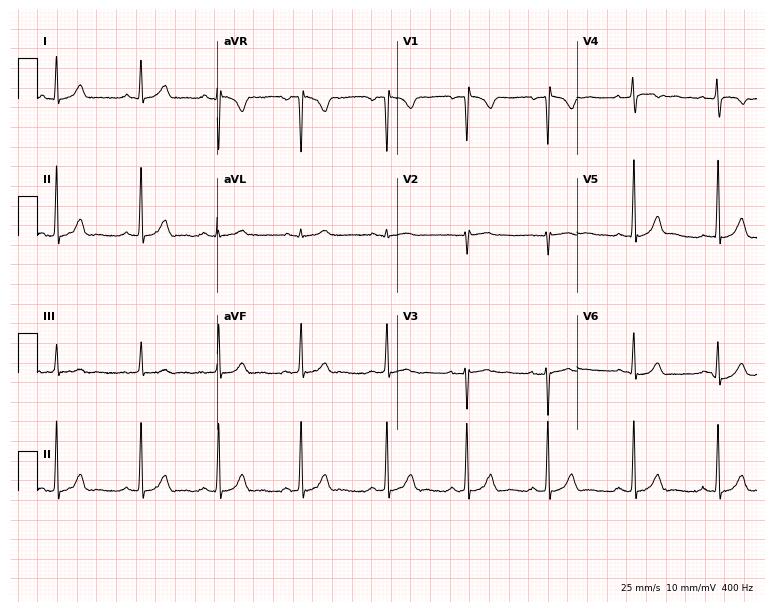
Standard 12-lead ECG recorded from a female, 19 years old. Read as a normal ECG.